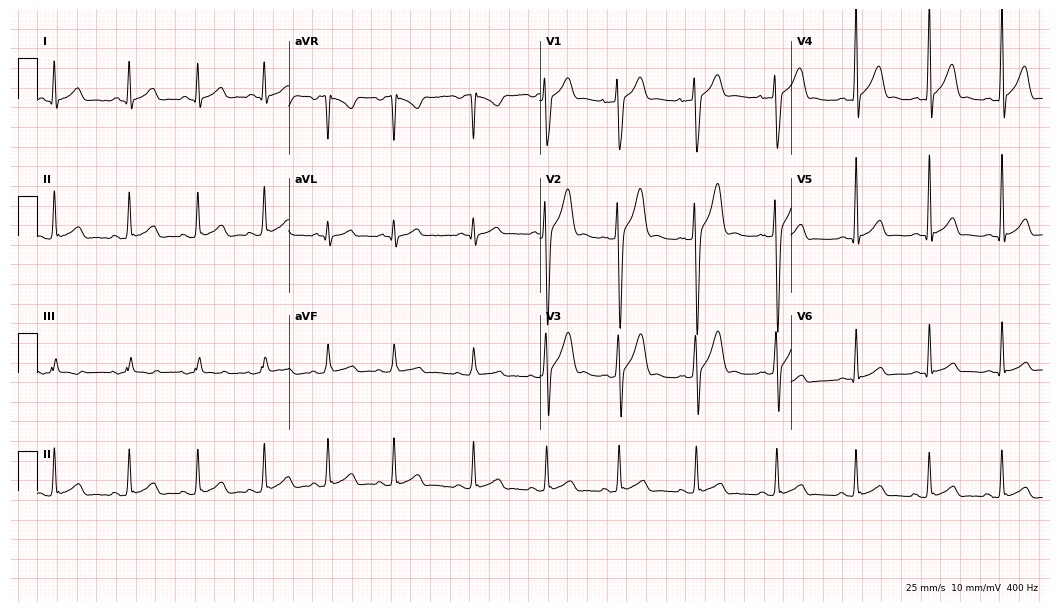
12-lead ECG from a 19-year-old male. Recorded interpretation: within normal limits.